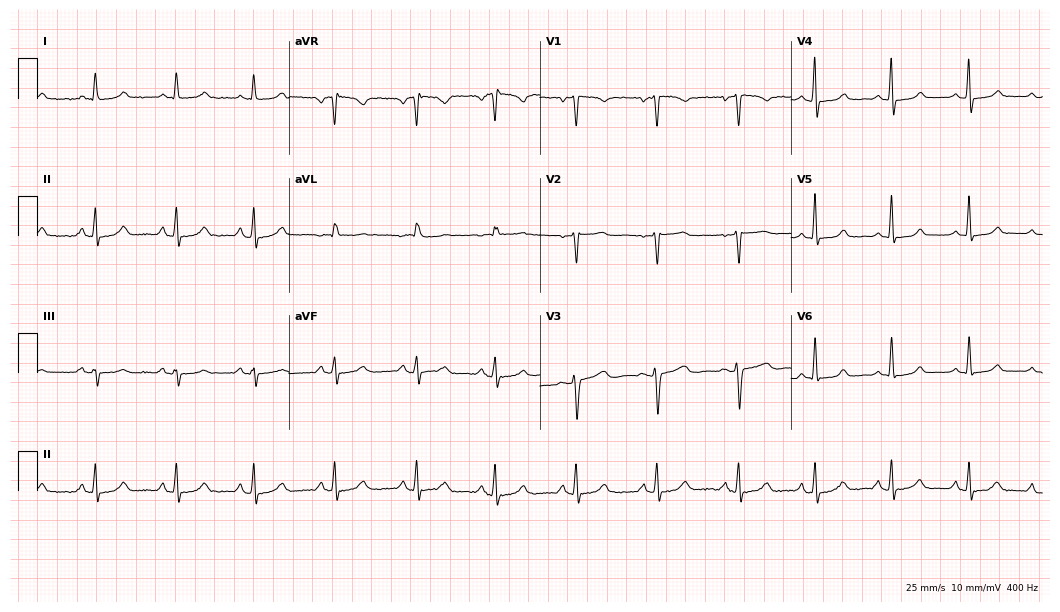
Electrocardiogram (10.2-second recording at 400 Hz), a 61-year-old female. Overall reading on record: normal ECG.